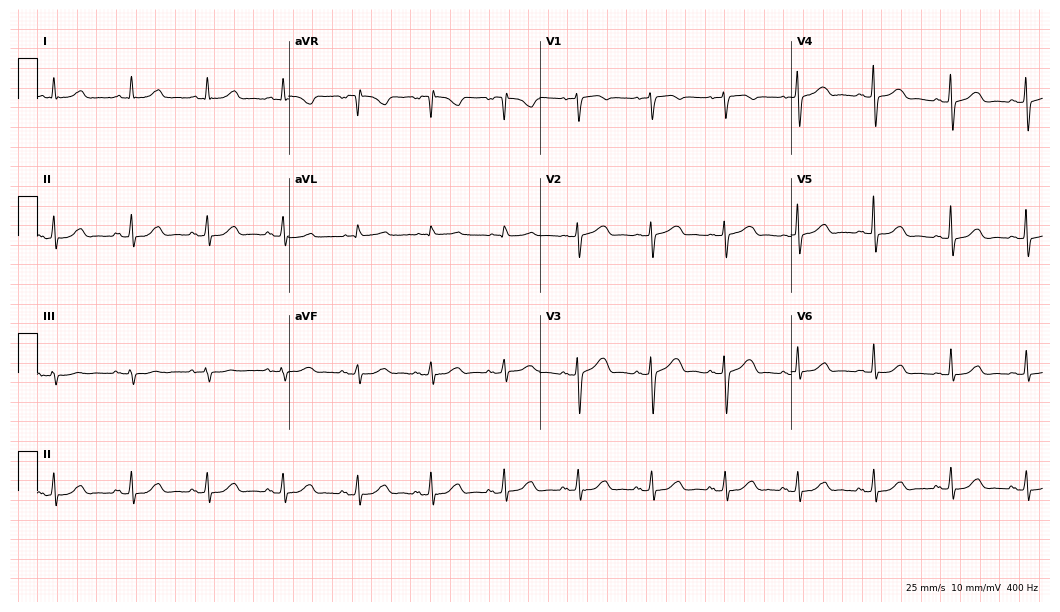
Electrocardiogram (10.2-second recording at 400 Hz), a female patient, 80 years old. Of the six screened findings (first-degree AV block, right bundle branch block (RBBB), left bundle branch block (LBBB), sinus bradycardia, atrial fibrillation (AF), sinus tachycardia), none is recorded.